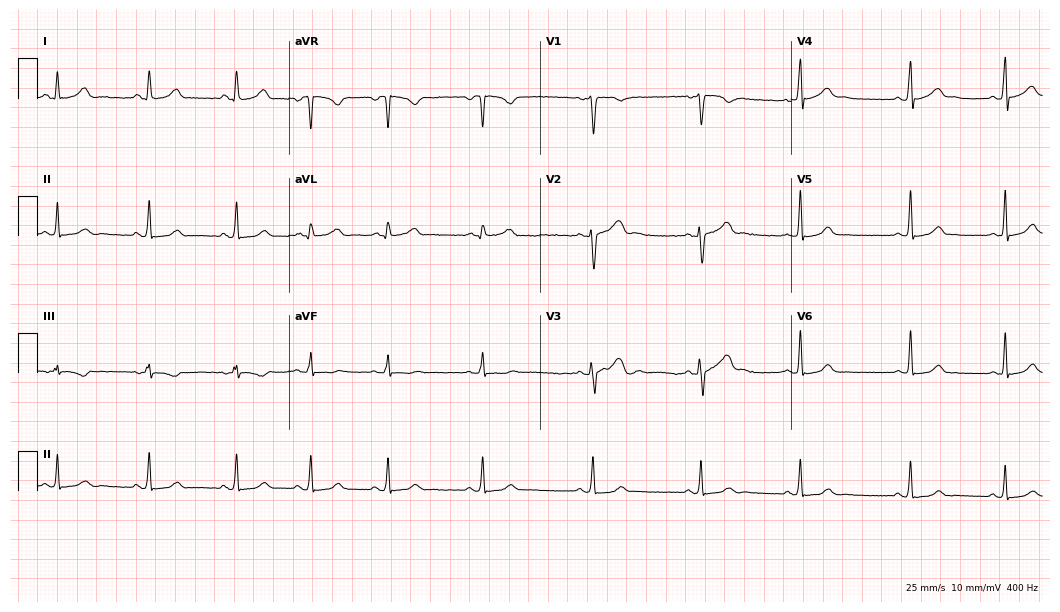
Resting 12-lead electrocardiogram. Patient: a 17-year-old female. Read as a normal ECG.